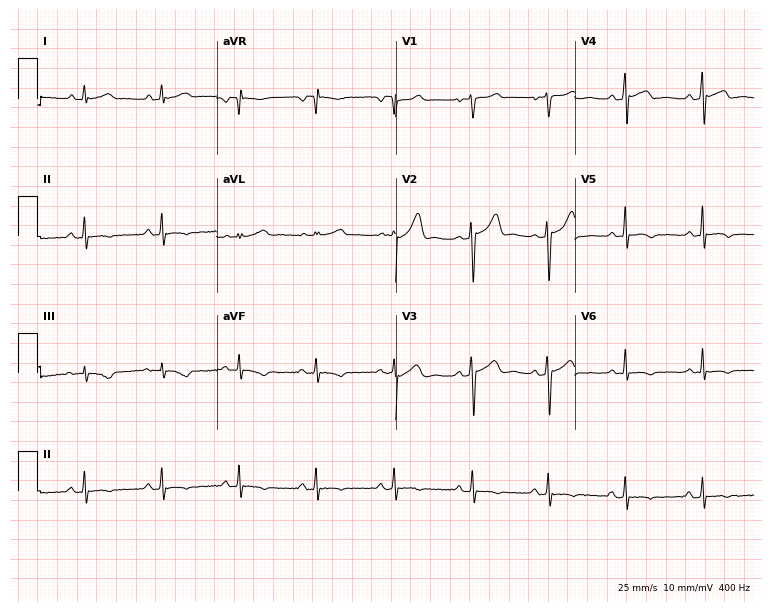
ECG (7.3-second recording at 400 Hz) — a male, 45 years old. Screened for six findings — first-degree AV block, right bundle branch block, left bundle branch block, sinus bradycardia, atrial fibrillation, sinus tachycardia — none is recorded.